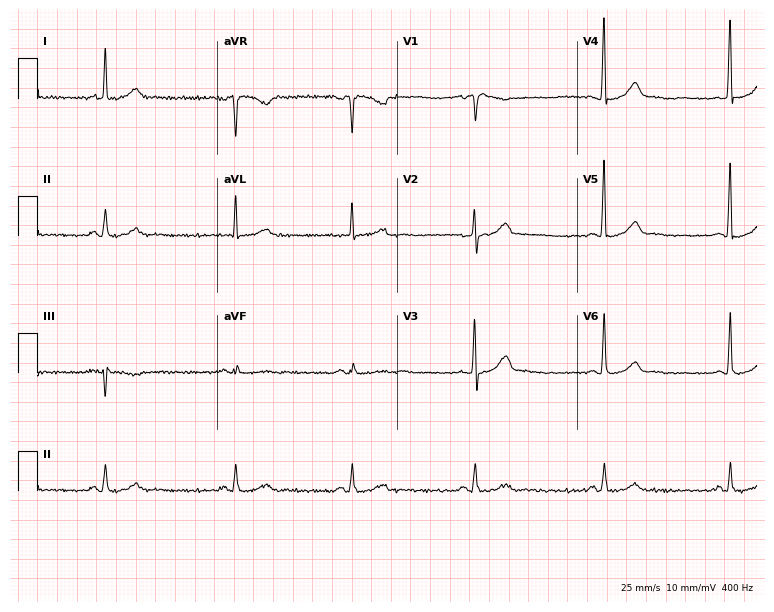
12-lead ECG from a man, 42 years old (7.3-second recording at 400 Hz). No first-degree AV block, right bundle branch block (RBBB), left bundle branch block (LBBB), sinus bradycardia, atrial fibrillation (AF) or sinus tachycardia recorded for this tracing.